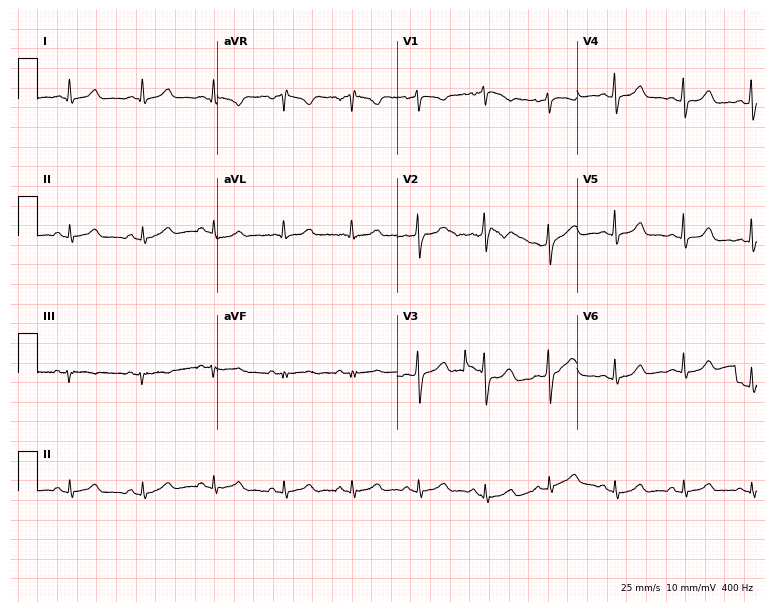
Standard 12-lead ECG recorded from a female, 50 years old (7.3-second recording at 400 Hz). Read as a normal ECG.